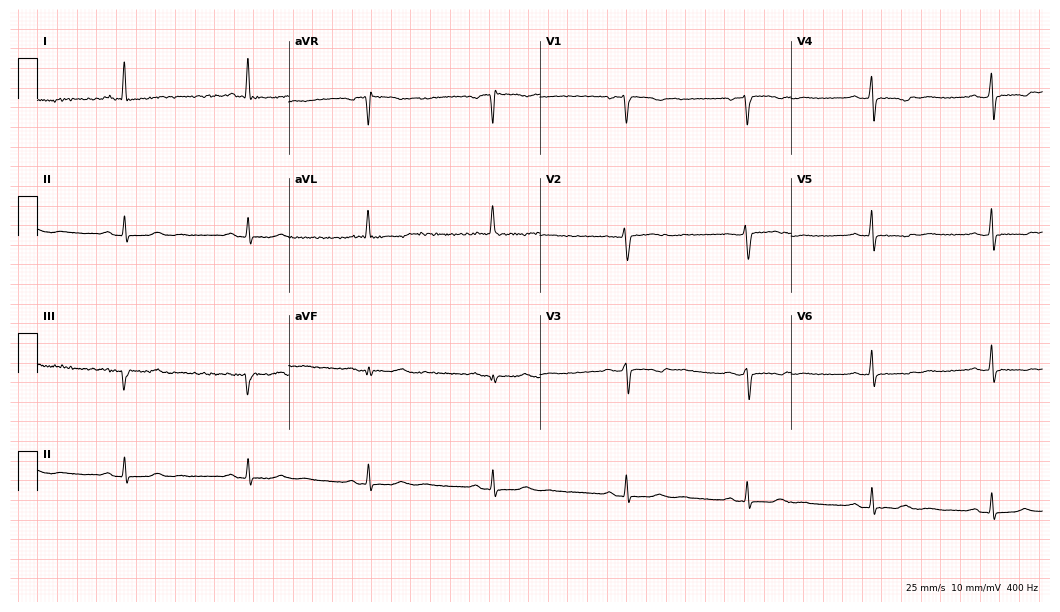
Standard 12-lead ECG recorded from a woman, 74 years old. The tracing shows sinus bradycardia (a sinus rate of 50 beats per minute or less).